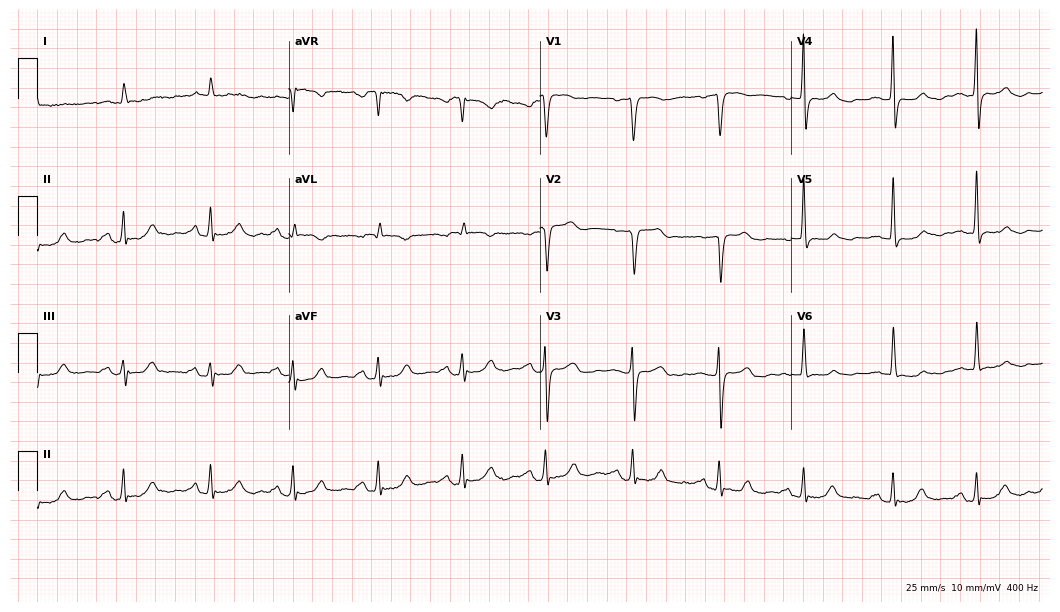
ECG — a 74-year-old man. Screened for six findings — first-degree AV block, right bundle branch block, left bundle branch block, sinus bradycardia, atrial fibrillation, sinus tachycardia — none is recorded.